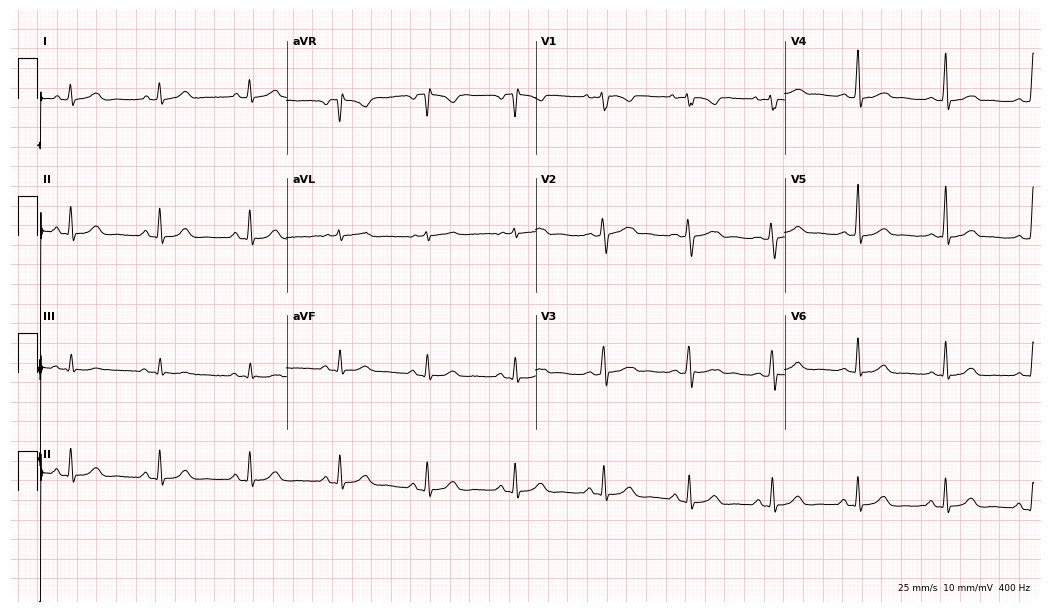
Electrocardiogram, a 37-year-old female patient. Overall reading on record: normal ECG.